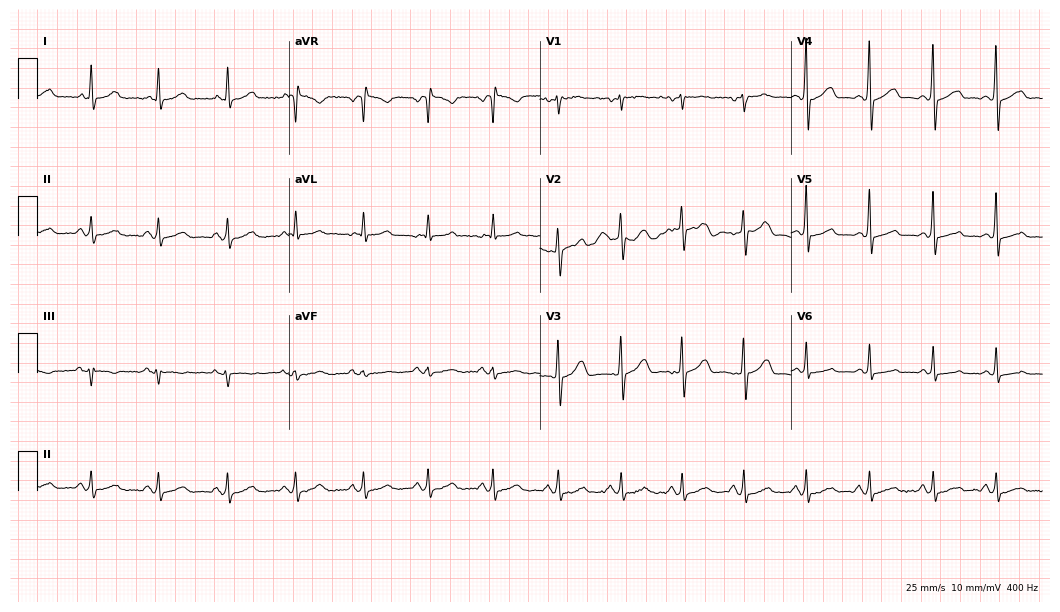
Standard 12-lead ECG recorded from a female patient, 41 years old (10.2-second recording at 400 Hz). Read as a normal ECG.